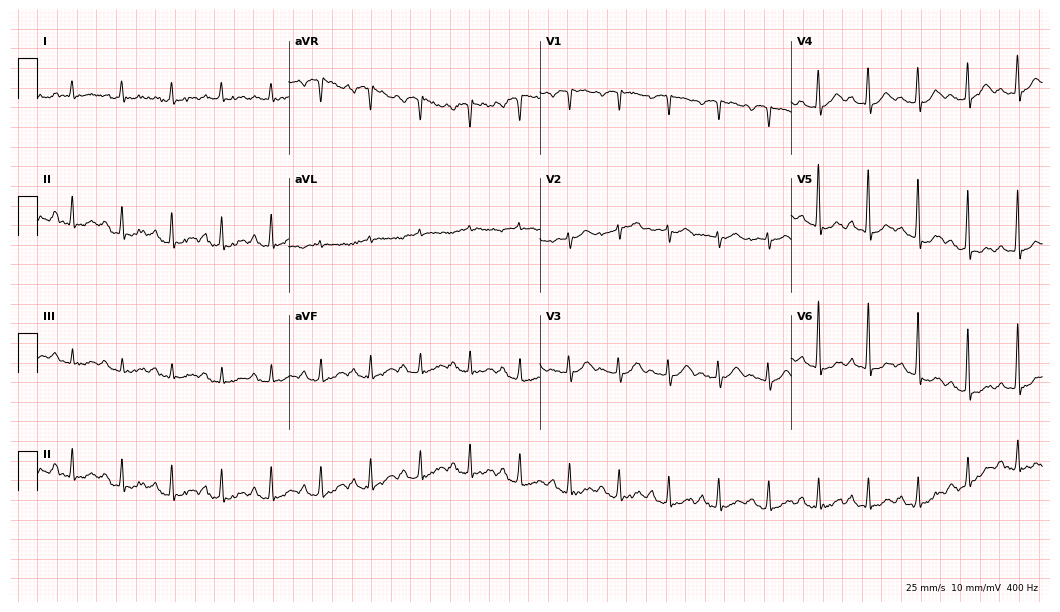
Resting 12-lead electrocardiogram (10.2-second recording at 400 Hz). Patient: a male, 82 years old. The tracing shows sinus tachycardia (a sinus rate of 100 beats per minute or more).